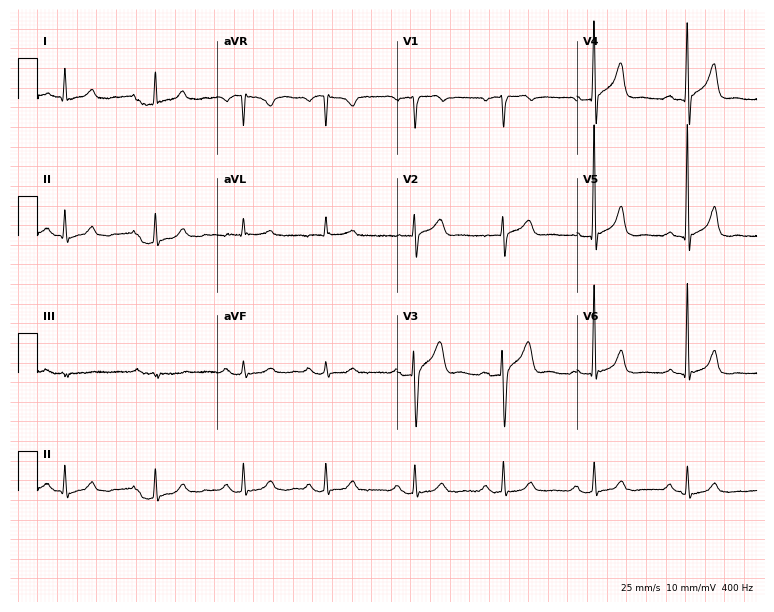
12-lead ECG from a man, 65 years old (7.3-second recording at 400 Hz). Recorded interpretation: within normal limits.